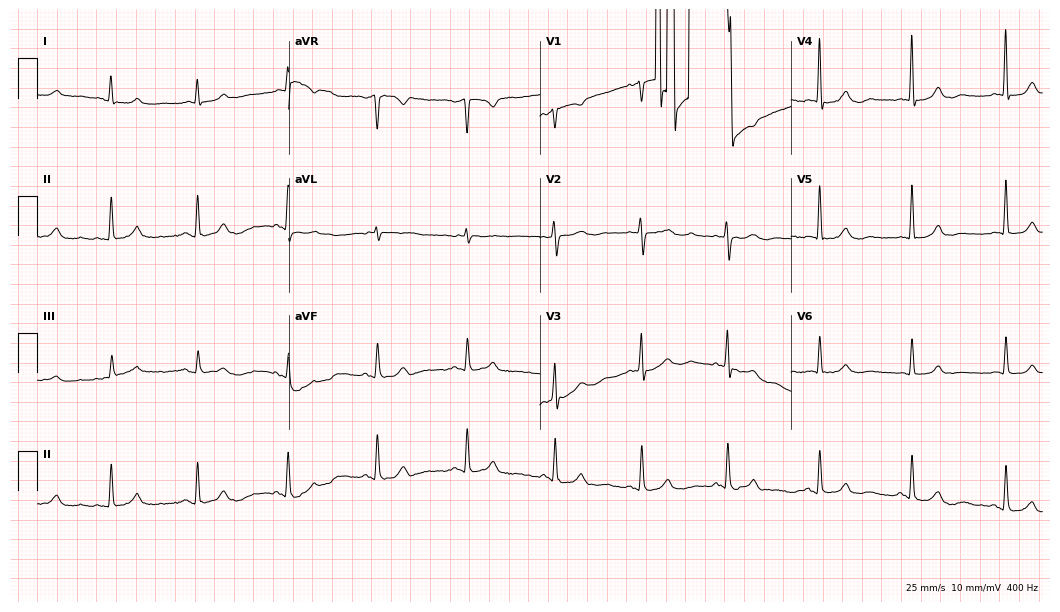
Electrocardiogram, a 76-year-old woman. Of the six screened findings (first-degree AV block, right bundle branch block, left bundle branch block, sinus bradycardia, atrial fibrillation, sinus tachycardia), none is recorded.